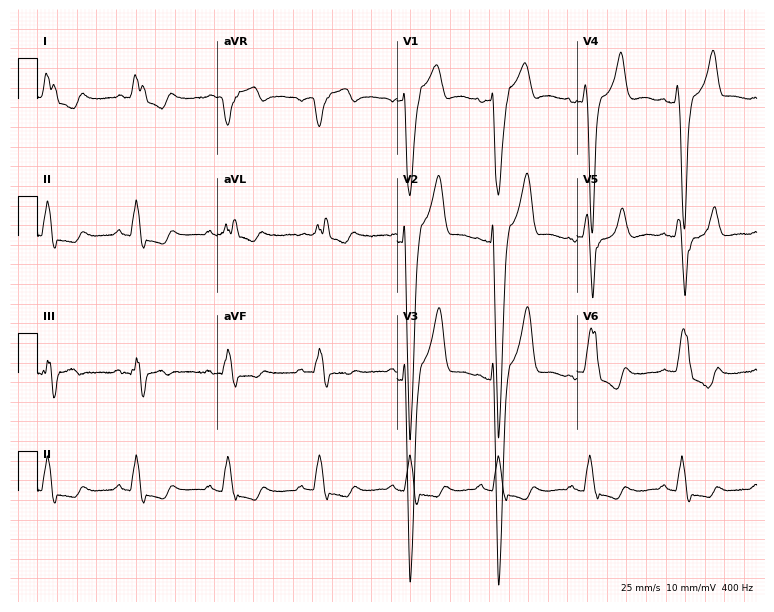
Electrocardiogram, a male patient, 78 years old. Interpretation includes left bundle branch block.